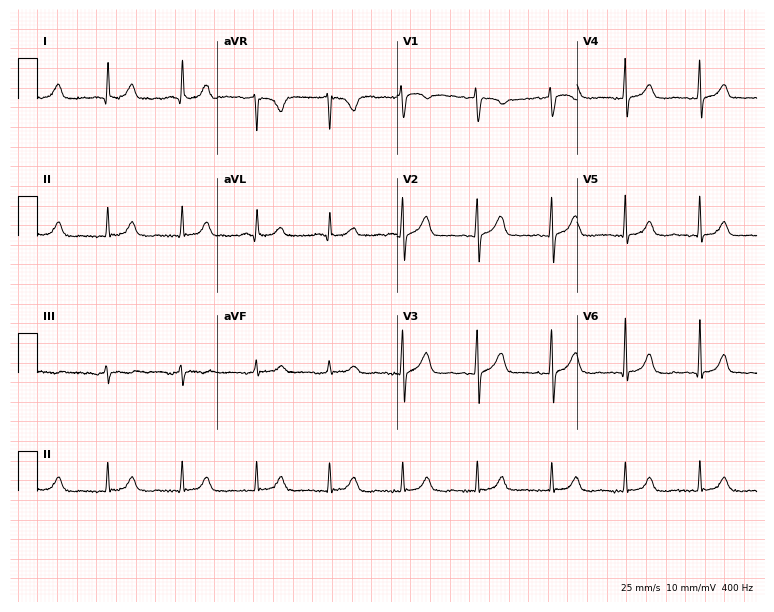
ECG (7.3-second recording at 400 Hz) — a female, 53 years old. Labelled as a normal ECG.